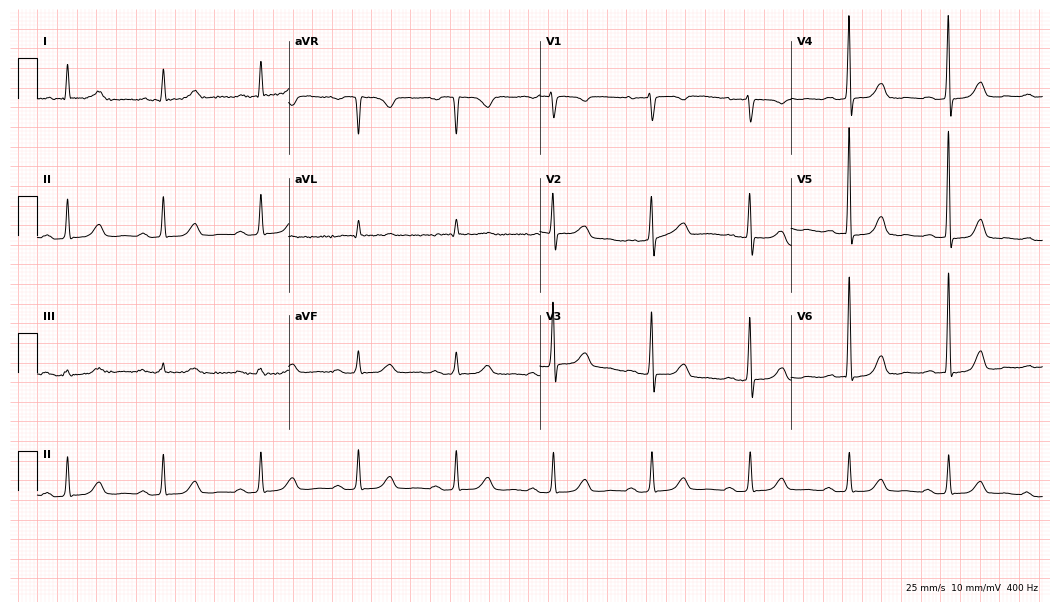
Standard 12-lead ECG recorded from a female patient, 67 years old (10.2-second recording at 400 Hz). None of these six findings is recorded: first-degree AV block, right bundle branch block, left bundle branch block, sinus bradycardia, atrial fibrillation, sinus tachycardia. Findings outside these six are not listed.